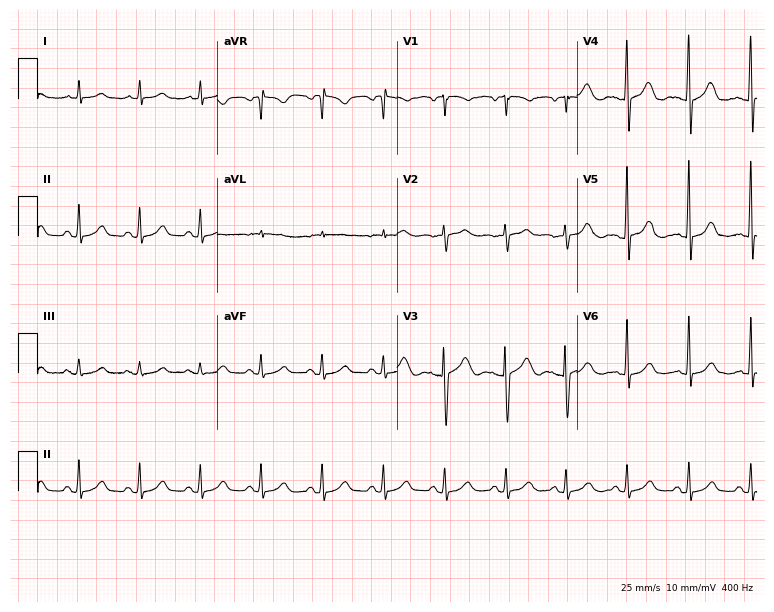
ECG — a 60-year-old female patient. Labelled as a normal ECG.